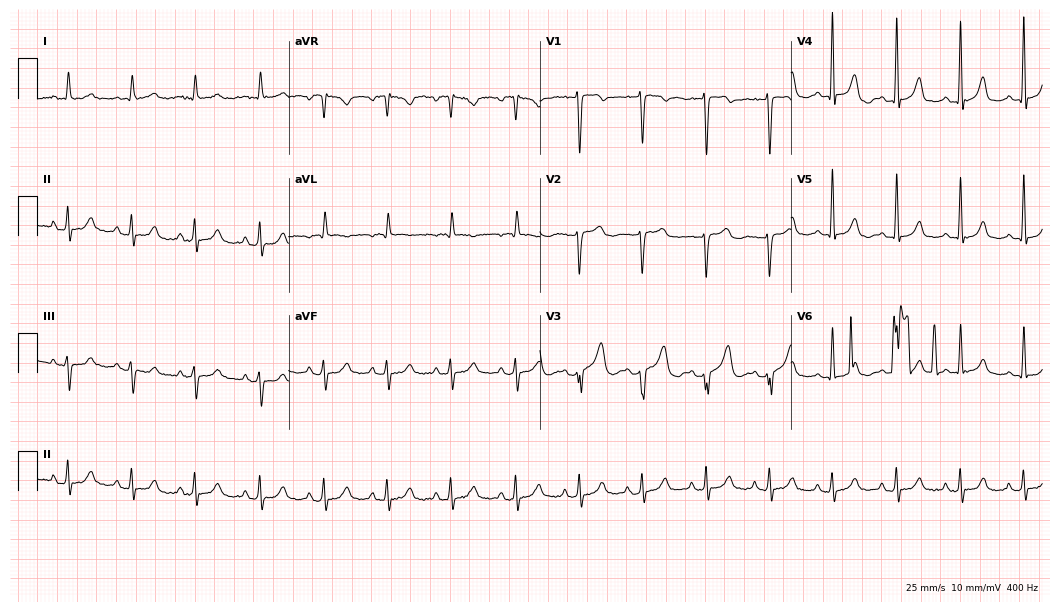
12-lead ECG from a 62-year-old woman. Screened for six findings — first-degree AV block, right bundle branch block, left bundle branch block, sinus bradycardia, atrial fibrillation, sinus tachycardia — none is recorded. Only these six findings were labelled.